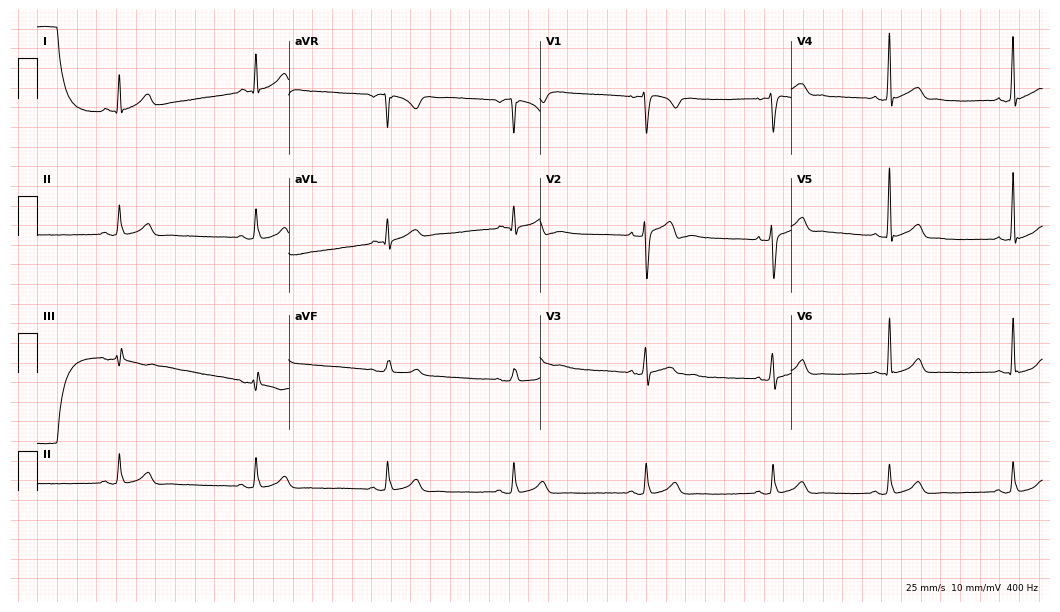
Standard 12-lead ECG recorded from a 27-year-old male patient. The tracing shows sinus bradycardia (a sinus rate of 50 beats per minute or less).